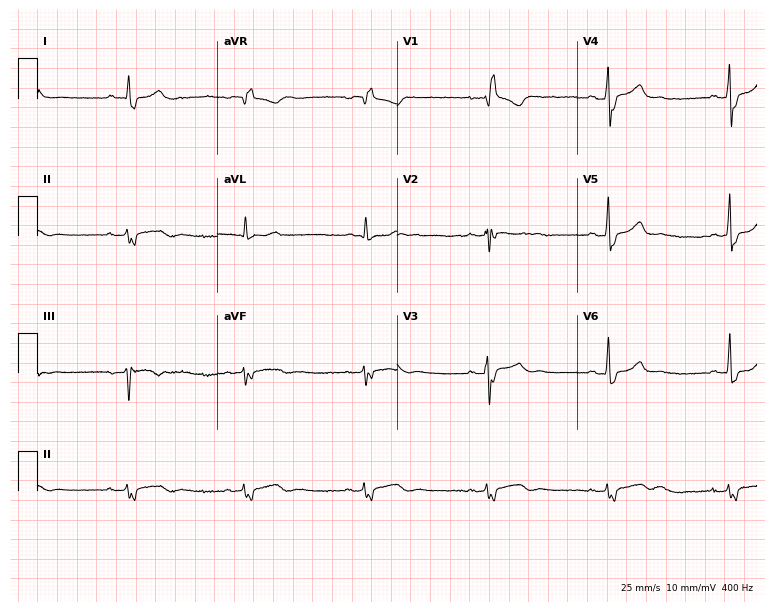
Electrocardiogram, a female, 47 years old. Interpretation includes right bundle branch block, sinus bradycardia (a sinus rate of 50 beats per minute or less).